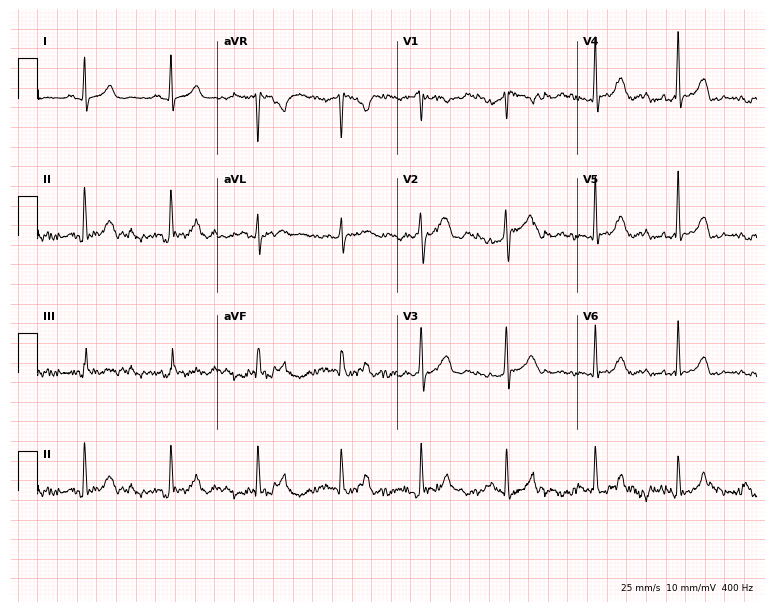
Electrocardiogram (7.3-second recording at 400 Hz), a woman, 45 years old. Overall reading on record: normal ECG.